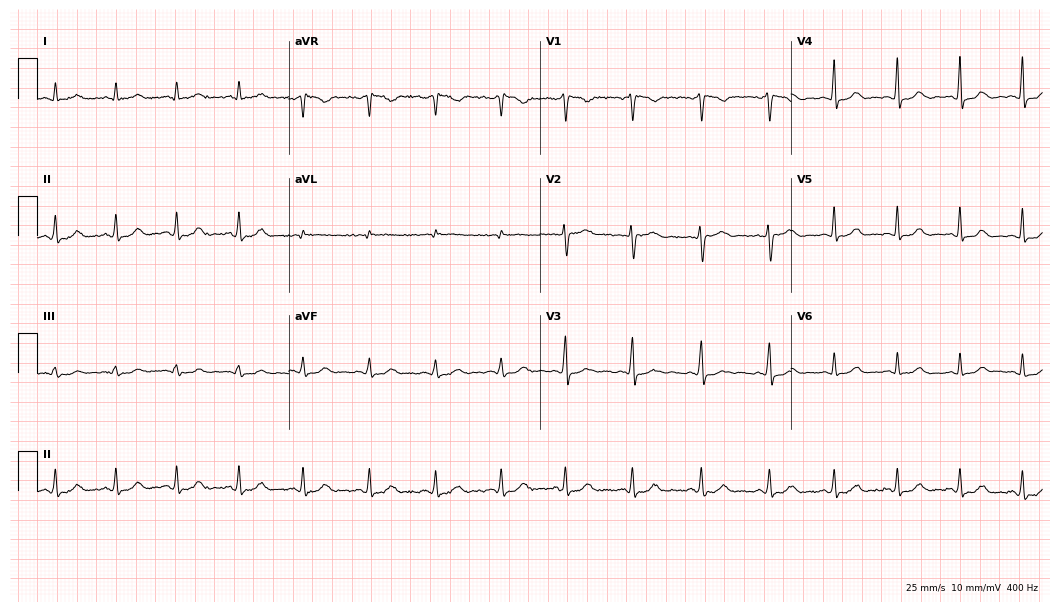
Resting 12-lead electrocardiogram. Patient: a 45-year-old woman. Read as a normal ECG.